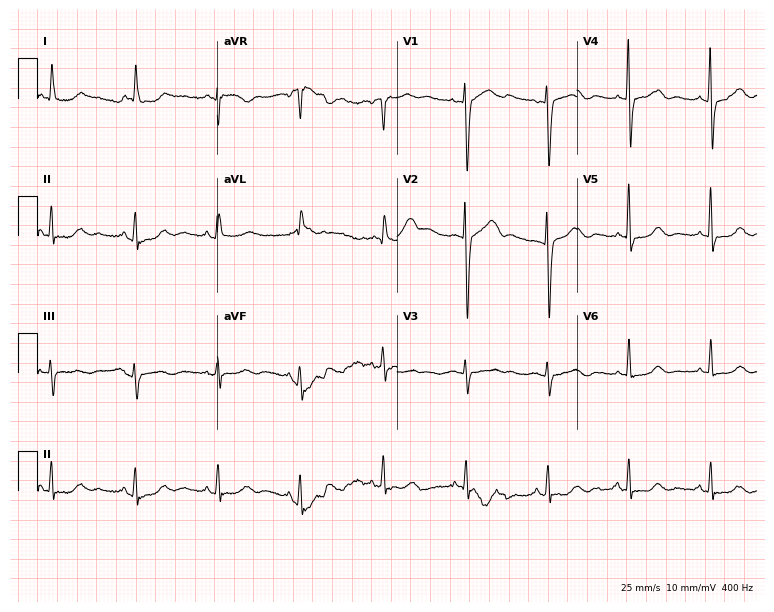
12-lead ECG (7.3-second recording at 400 Hz) from a 68-year-old female. Labelled as a normal ECG.